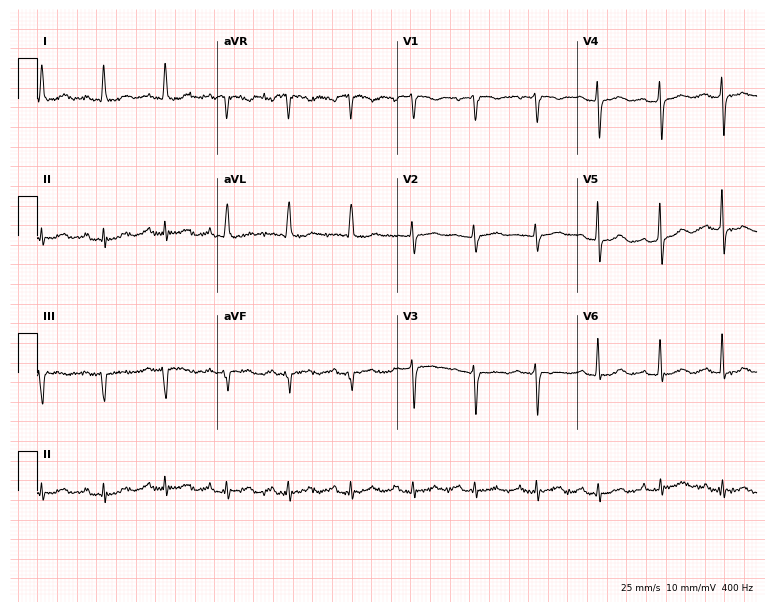
ECG — a 41-year-old female. Labelled as a normal ECG.